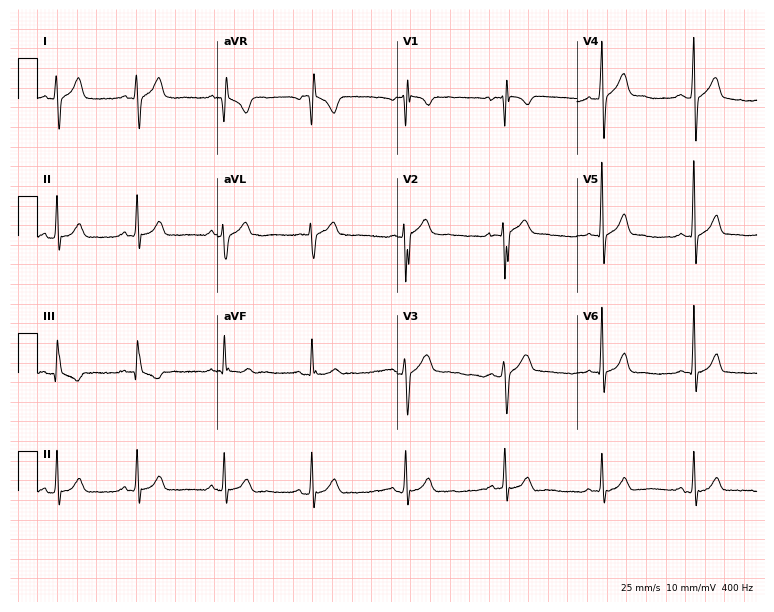
ECG — a 24-year-old man. Labelled as a normal ECG.